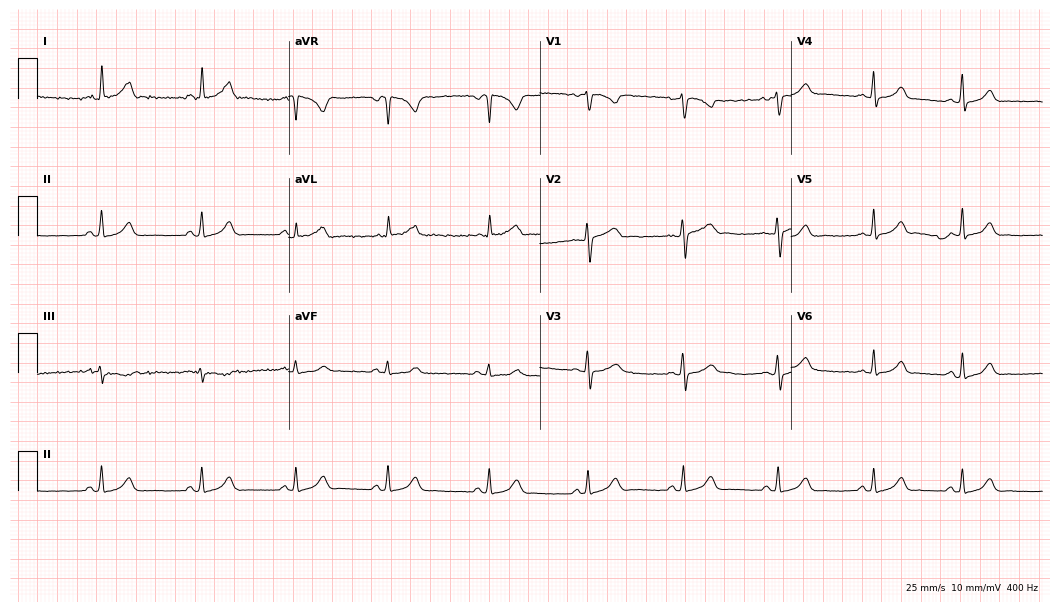
Electrocardiogram (10.2-second recording at 400 Hz), a 24-year-old woman. Overall reading on record: normal ECG.